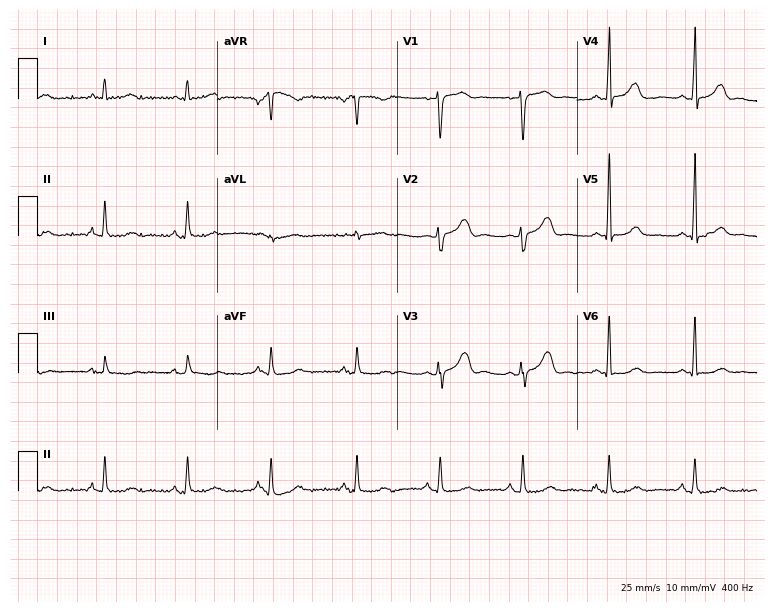
12-lead ECG from a female patient, 45 years old (7.3-second recording at 400 Hz). Recorded interpretation: within normal limits.